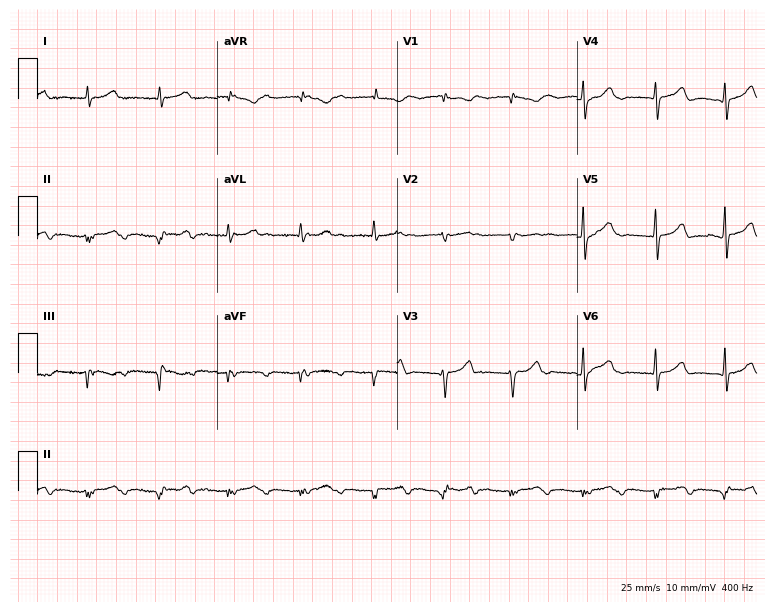
Standard 12-lead ECG recorded from a woman, 82 years old (7.3-second recording at 400 Hz). None of these six findings is recorded: first-degree AV block, right bundle branch block, left bundle branch block, sinus bradycardia, atrial fibrillation, sinus tachycardia. Findings outside these six are not listed.